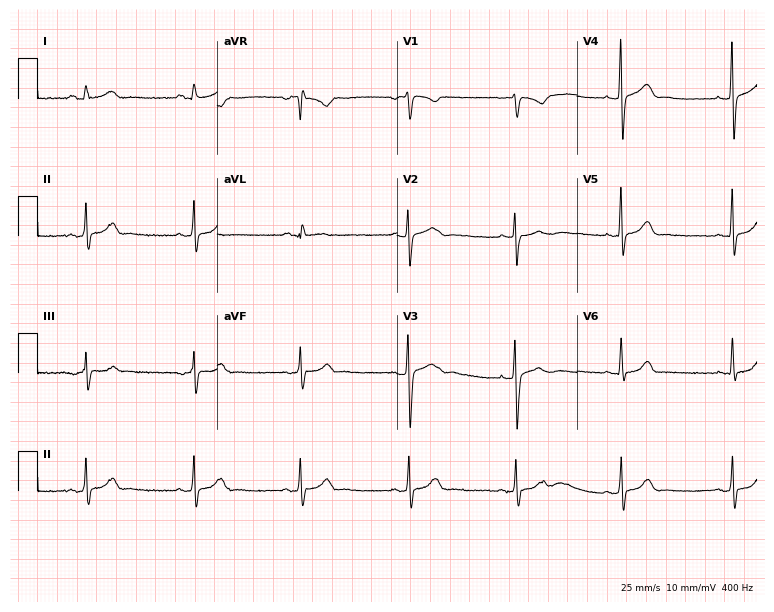
ECG (7.3-second recording at 400 Hz) — a 20-year-old female patient. Labelled as a normal ECG.